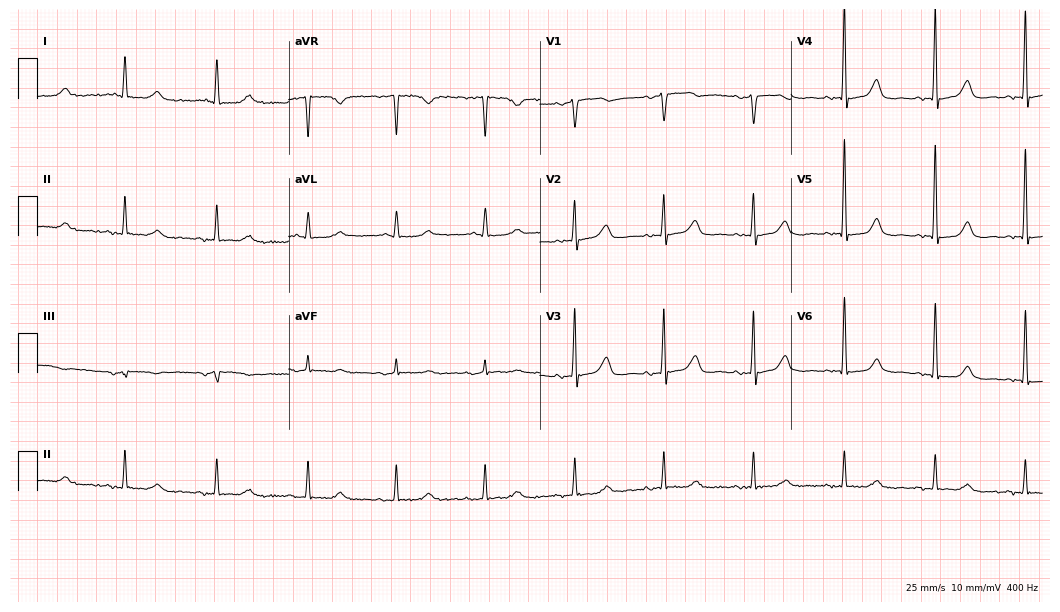
ECG (10.2-second recording at 400 Hz) — an 83-year-old woman. Screened for six findings — first-degree AV block, right bundle branch block (RBBB), left bundle branch block (LBBB), sinus bradycardia, atrial fibrillation (AF), sinus tachycardia — none is recorded.